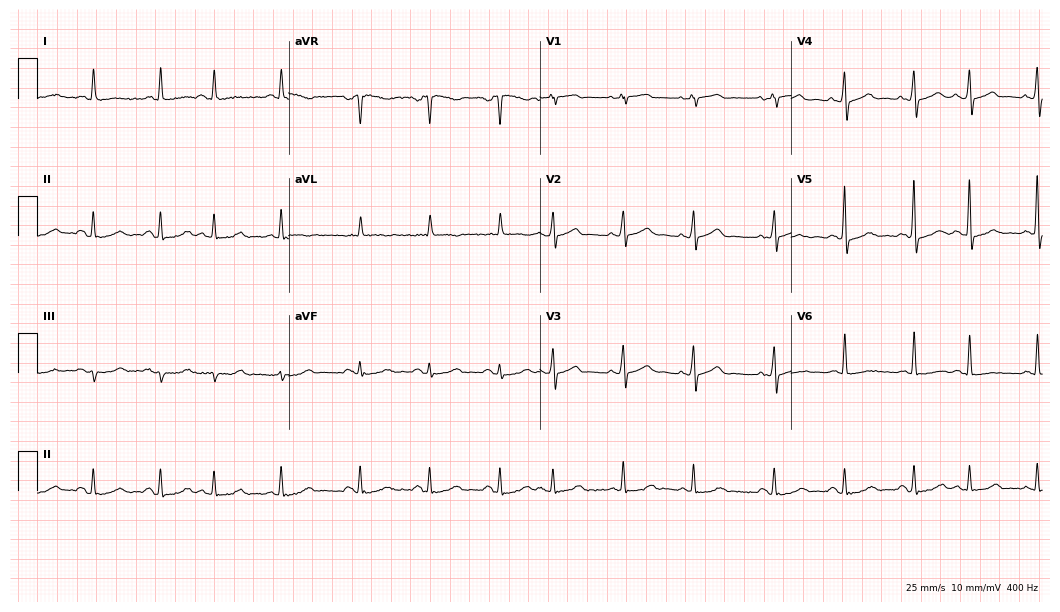
12-lead ECG from a woman, 78 years old. Screened for six findings — first-degree AV block, right bundle branch block, left bundle branch block, sinus bradycardia, atrial fibrillation, sinus tachycardia — none is recorded.